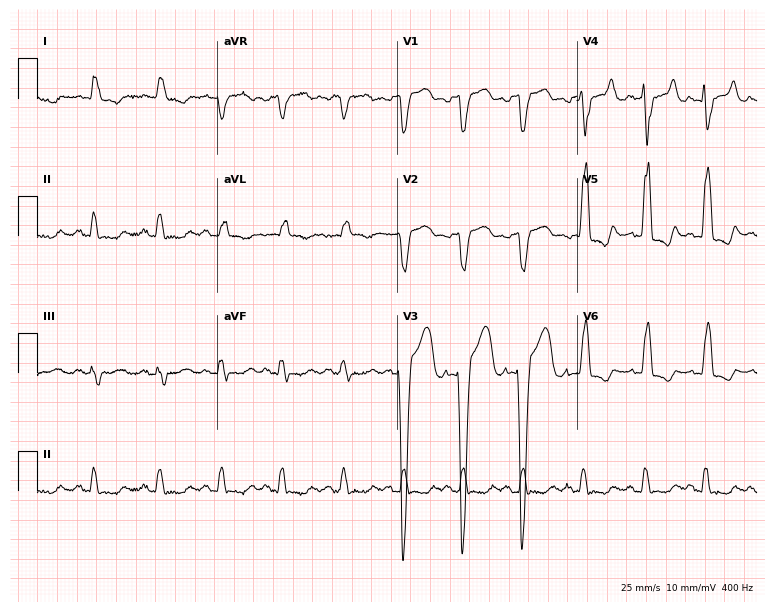
Standard 12-lead ECG recorded from an 84-year-old male patient. The tracing shows left bundle branch block (LBBB).